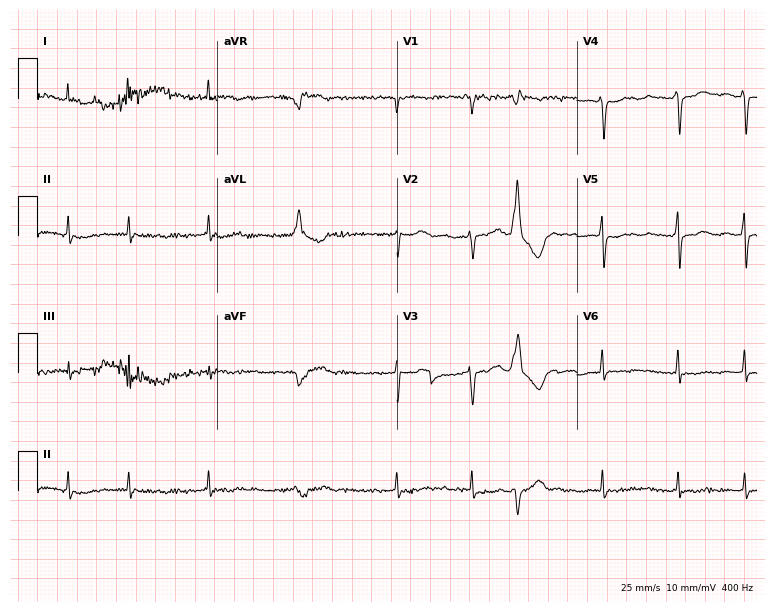
ECG — a female patient, 56 years old. Screened for six findings — first-degree AV block, right bundle branch block, left bundle branch block, sinus bradycardia, atrial fibrillation, sinus tachycardia — none is recorded.